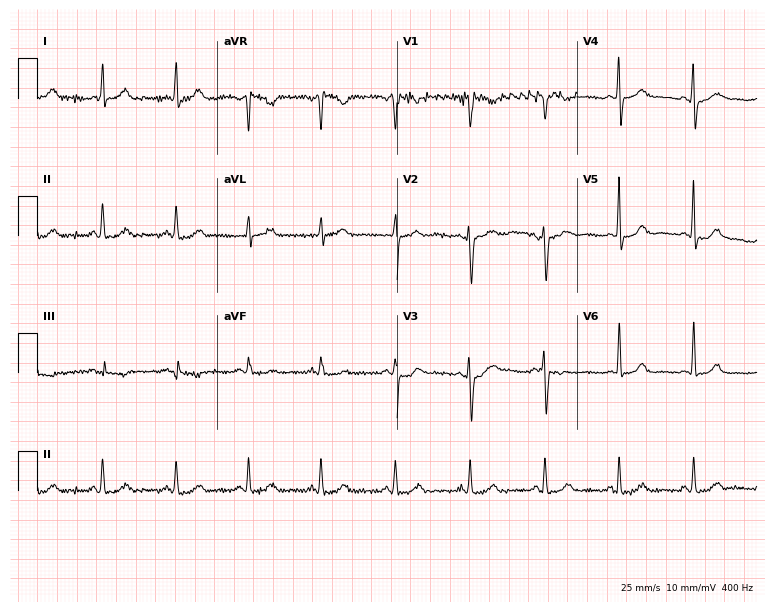
Standard 12-lead ECG recorded from a 46-year-old woman (7.3-second recording at 400 Hz). Read as a normal ECG.